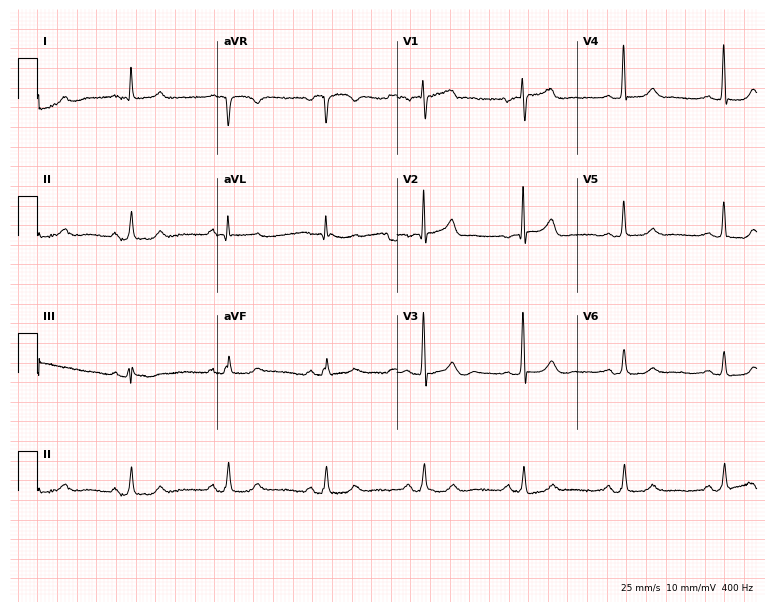
12-lead ECG (7.3-second recording at 400 Hz) from a female patient, 72 years old. Labelled as a normal ECG.